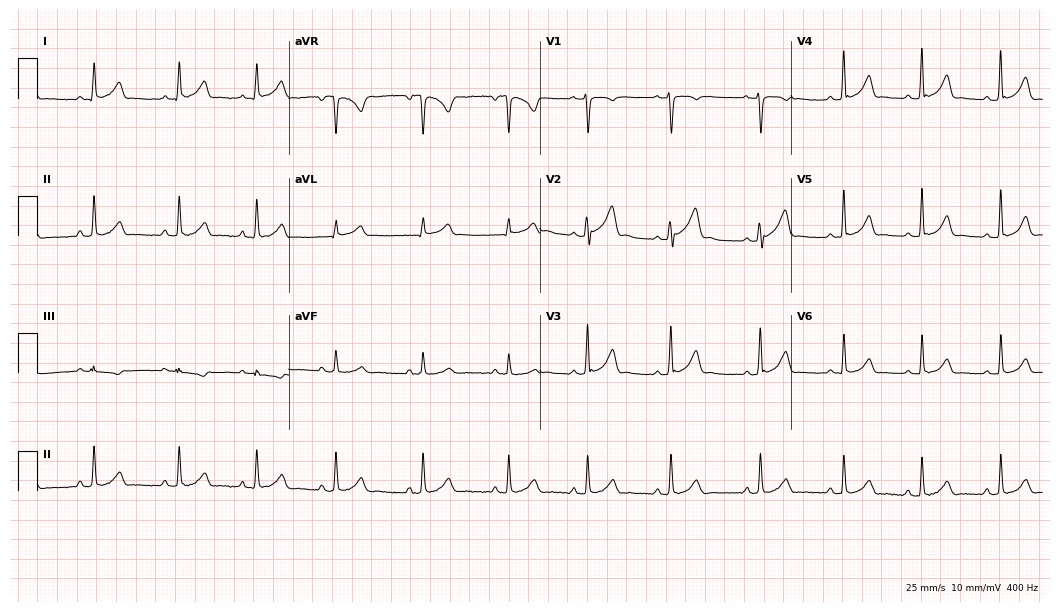
12-lead ECG (10.2-second recording at 400 Hz) from a 22-year-old female patient. Labelled as a normal ECG.